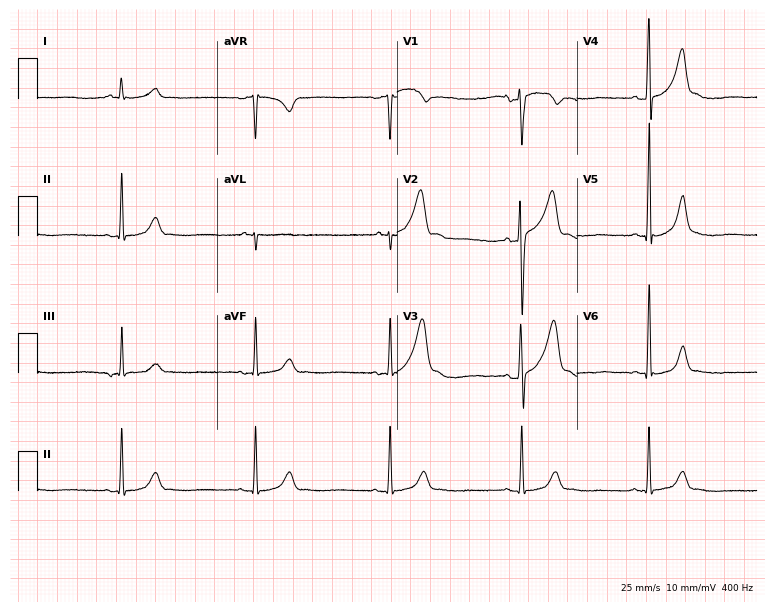
ECG (7.3-second recording at 400 Hz) — a 36-year-old male patient. Findings include sinus bradycardia (a sinus rate of 50 beats per minute or less).